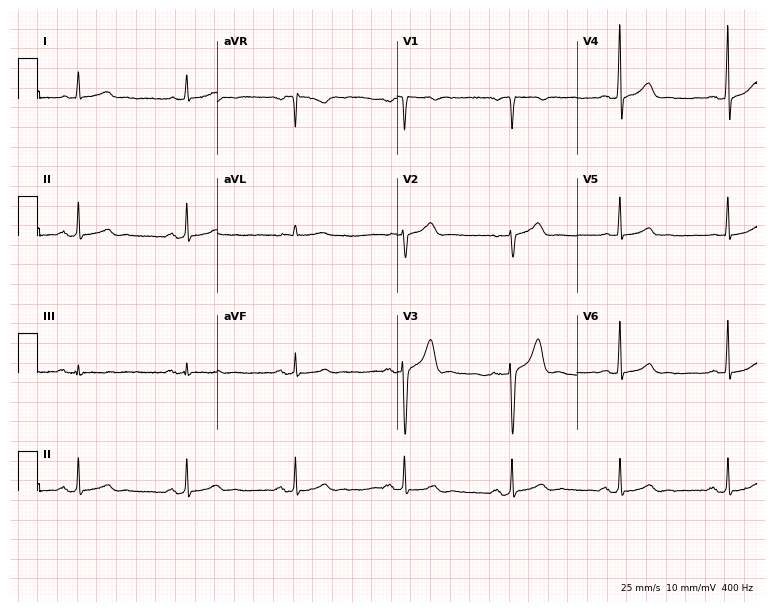
ECG (7.3-second recording at 400 Hz) — a 63-year-old male. Labelled as a normal ECG.